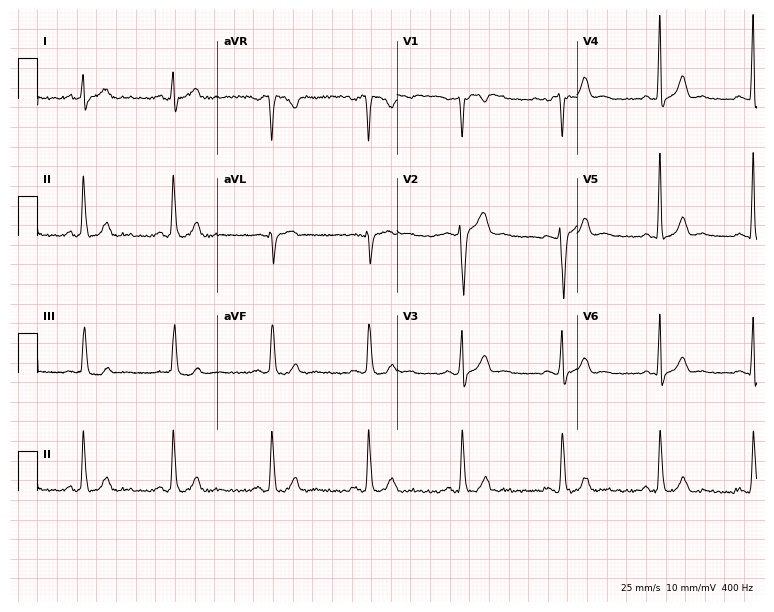
12-lead ECG from a female, 29 years old. Labelled as a normal ECG.